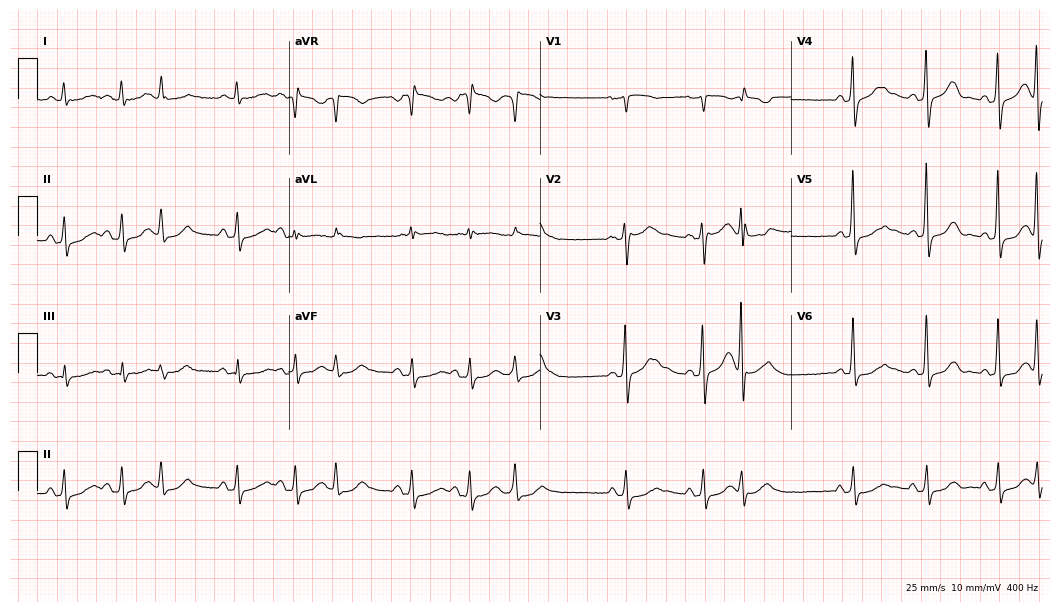
Resting 12-lead electrocardiogram (10.2-second recording at 400 Hz). Patient: a female, 72 years old. None of these six findings is recorded: first-degree AV block, right bundle branch block, left bundle branch block, sinus bradycardia, atrial fibrillation, sinus tachycardia. Other findings, if any, are not listed.